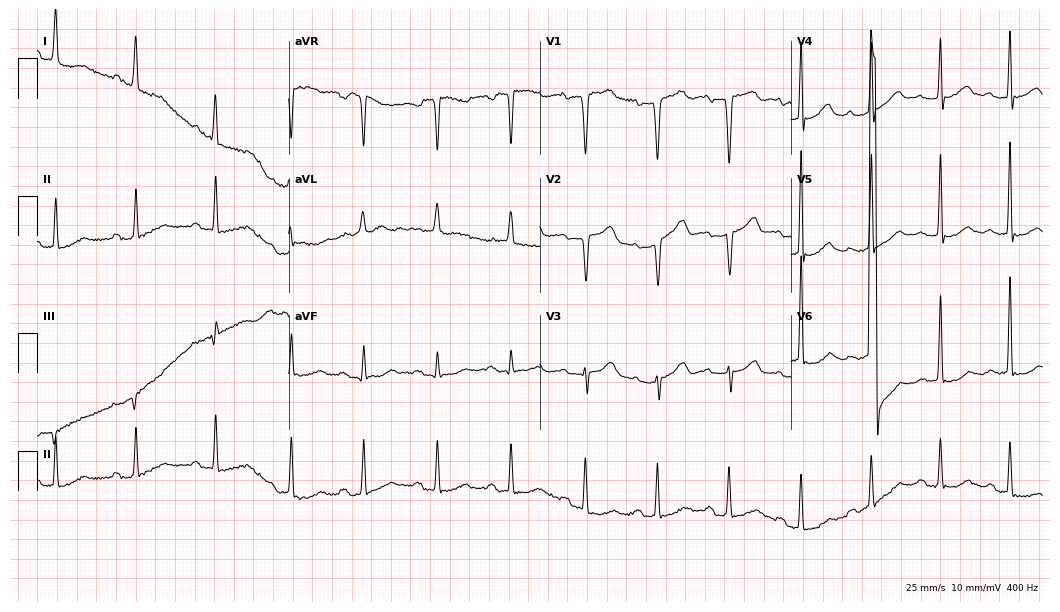
ECG — a female, 74 years old. Findings include first-degree AV block.